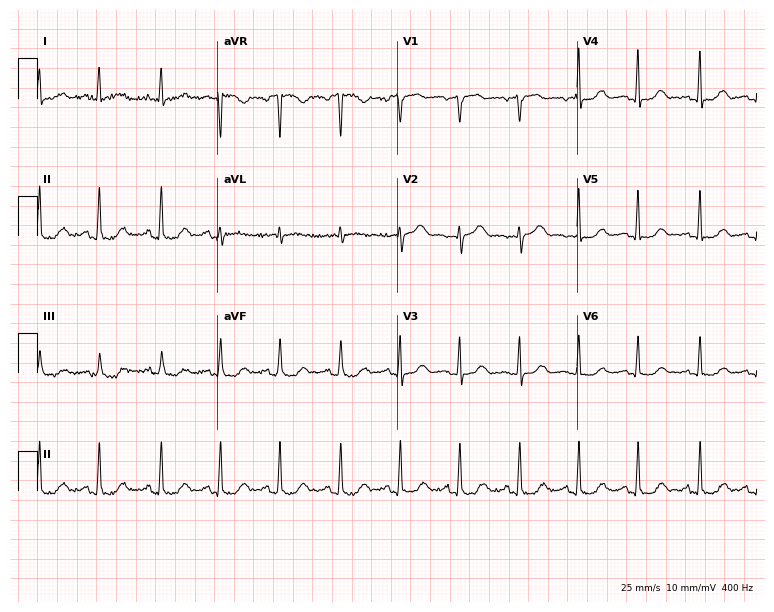
Resting 12-lead electrocardiogram (7.3-second recording at 400 Hz). Patient: a woman, 61 years old. None of these six findings is recorded: first-degree AV block, right bundle branch block, left bundle branch block, sinus bradycardia, atrial fibrillation, sinus tachycardia.